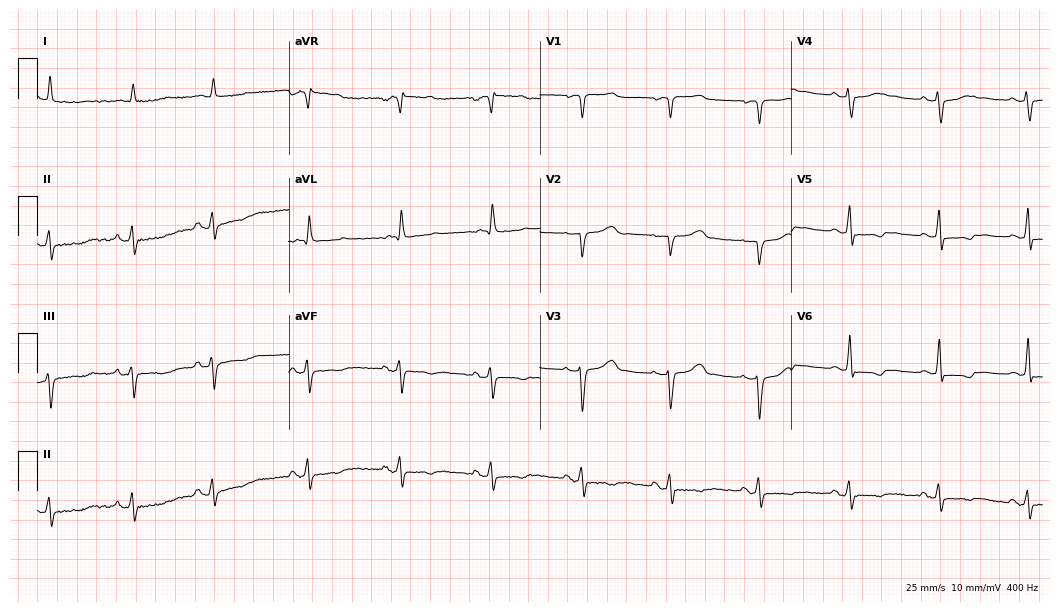
ECG — a woman, 72 years old. Screened for six findings — first-degree AV block, right bundle branch block (RBBB), left bundle branch block (LBBB), sinus bradycardia, atrial fibrillation (AF), sinus tachycardia — none is recorded. Findings outside these six are not listed.